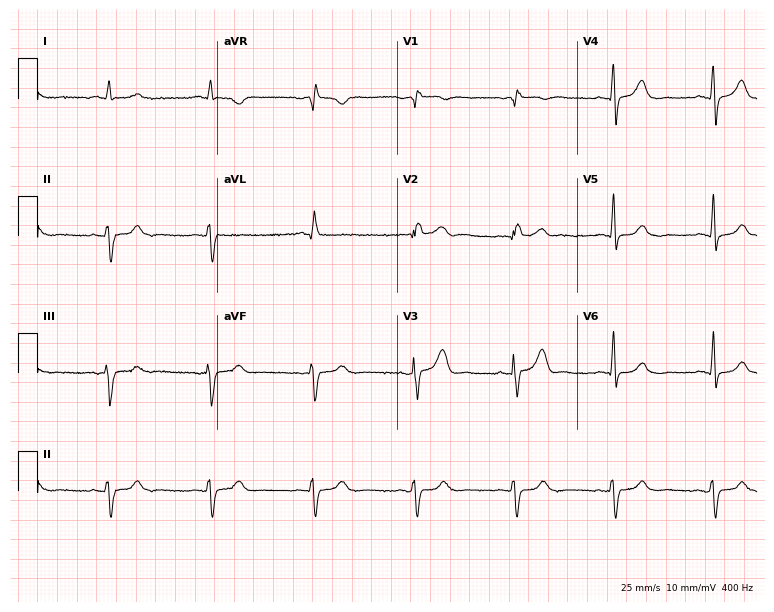
Electrocardiogram, a 76-year-old male. Of the six screened findings (first-degree AV block, right bundle branch block, left bundle branch block, sinus bradycardia, atrial fibrillation, sinus tachycardia), none is recorded. Only these six findings were labelled.